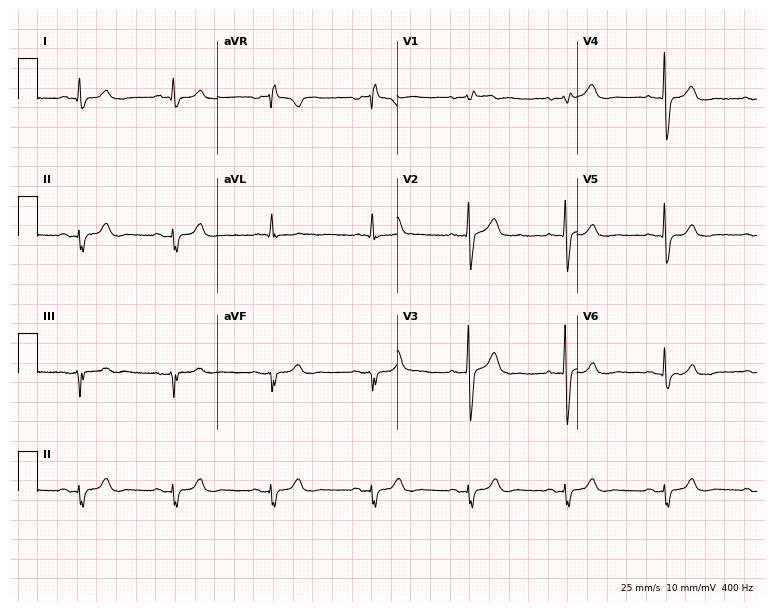
12-lead ECG (7.3-second recording at 400 Hz) from a 71-year-old female. Screened for six findings — first-degree AV block, right bundle branch block, left bundle branch block, sinus bradycardia, atrial fibrillation, sinus tachycardia — none is recorded. Other findings, if any, are not listed.